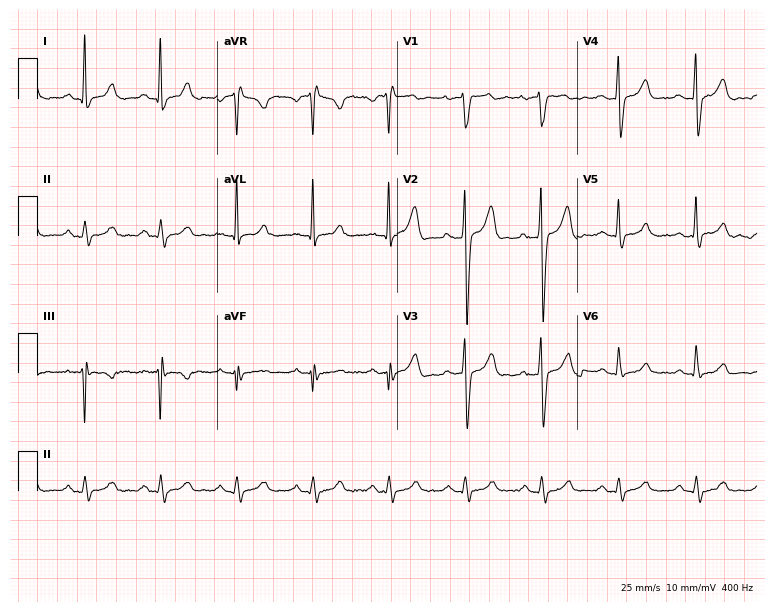
Standard 12-lead ECG recorded from a 44-year-old man. Read as a normal ECG.